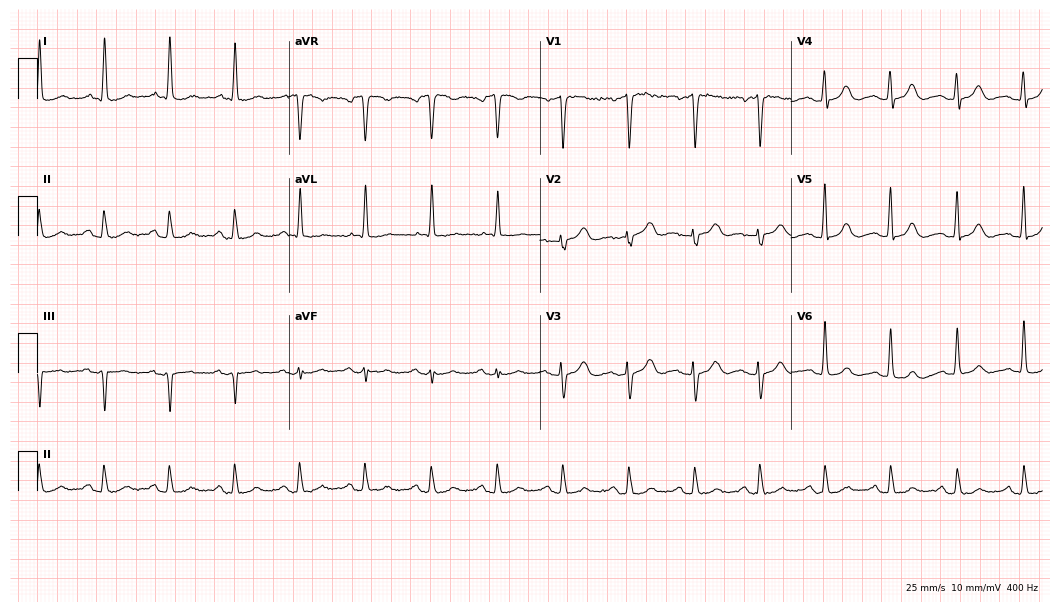
Standard 12-lead ECG recorded from a woman, 81 years old (10.2-second recording at 400 Hz). Read as a normal ECG.